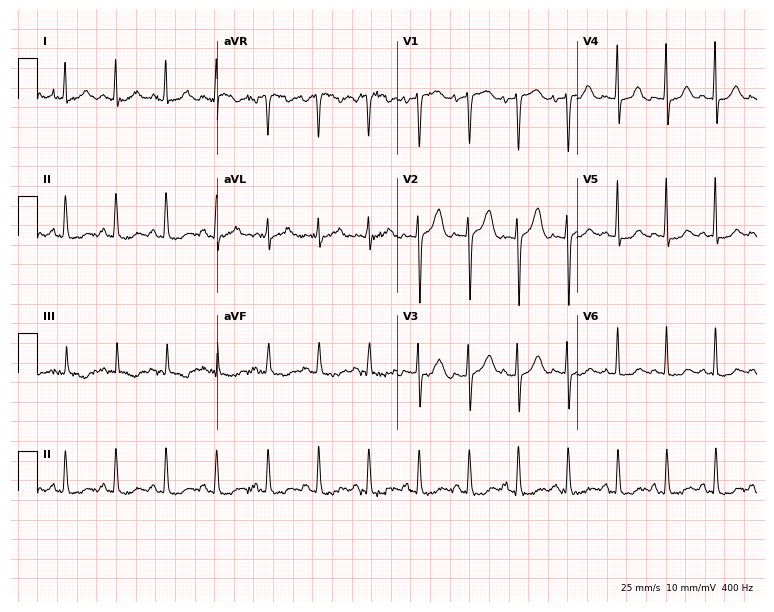
Standard 12-lead ECG recorded from a female patient, 58 years old. The tracing shows sinus tachycardia (a sinus rate of 100 beats per minute or more).